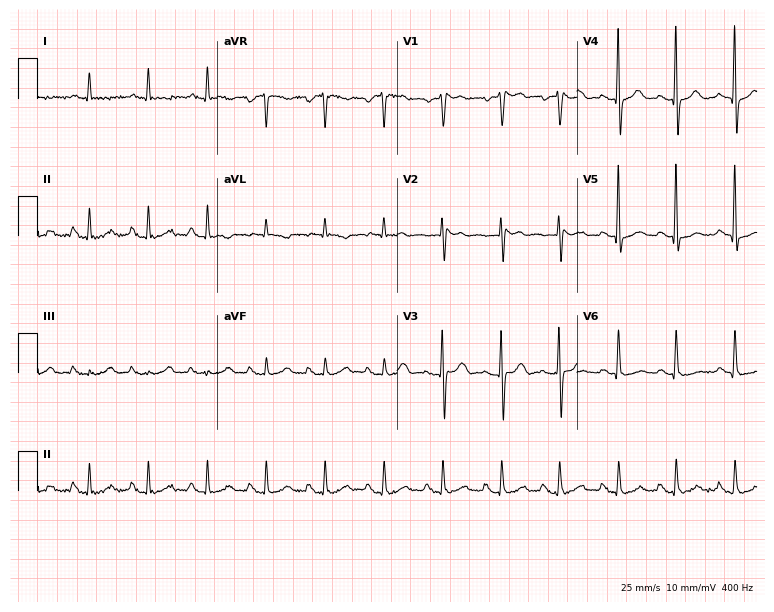
Standard 12-lead ECG recorded from a 68-year-old male patient (7.3-second recording at 400 Hz). None of these six findings is recorded: first-degree AV block, right bundle branch block, left bundle branch block, sinus bradycardia, atrial fibrillation, sinus tachycardia.